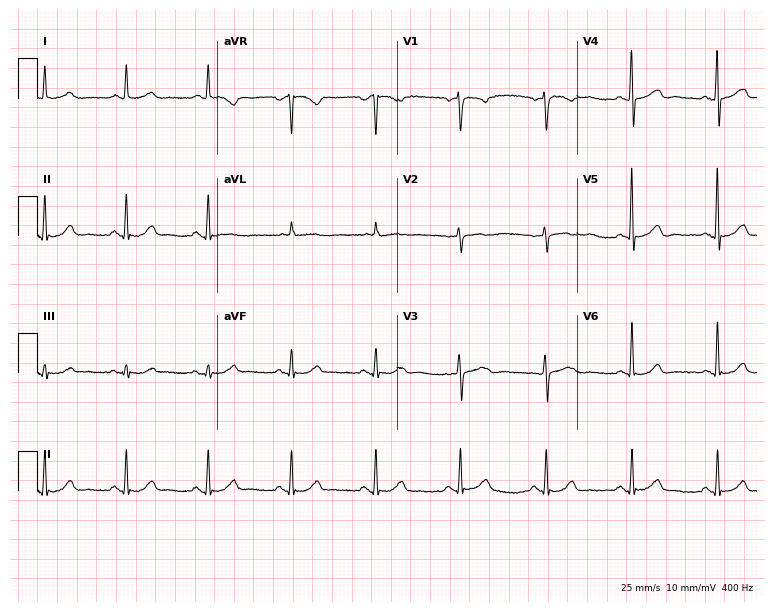
Standard 12-lead ECG recorded from a 52-year-old woman (7.3-second recording at 400 Hz). Read as a normal ECG.